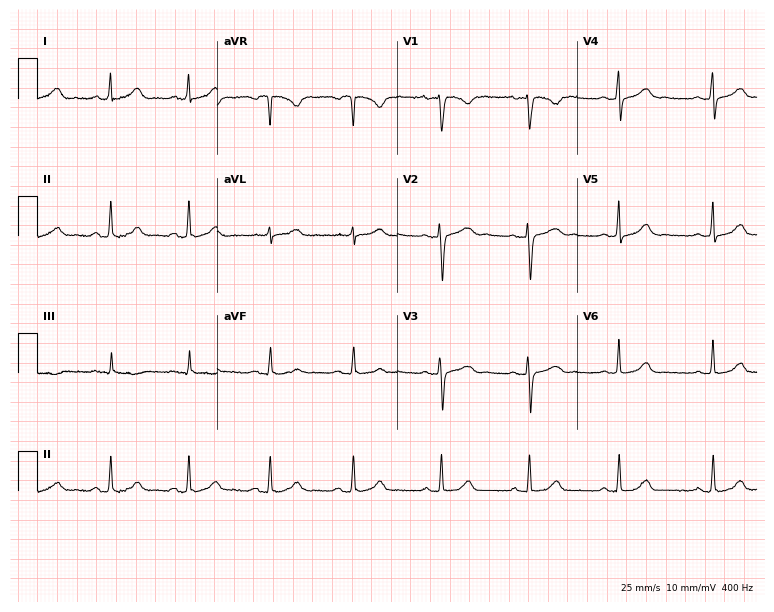
Electrocardiogram, a woman, 44 years old. Overall reading on record: normal ECG.